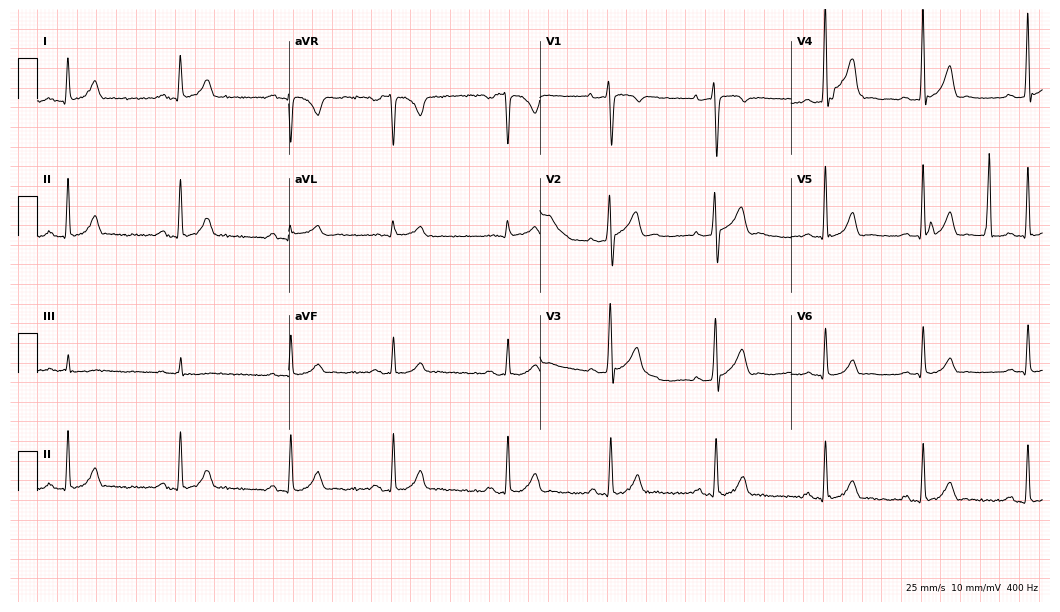
12-lead ECG from a man, 26 years old. No first-degree AV block, right bundle branch block (RBBB), left bundle branch block (LBBB), sinus bradycardia, atrial fibrillation (AF) or sinus tachycardia recorded for this tracing. Only these six findings were labelled.